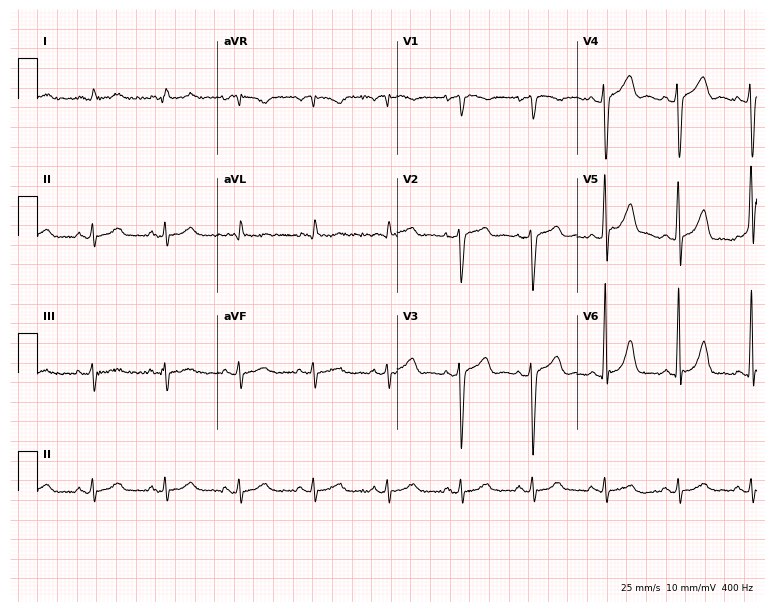
Electrocardiogram (7.3-second recording at 400 Hz), a man, 64 years old. Overall reading on record: normal ECG.